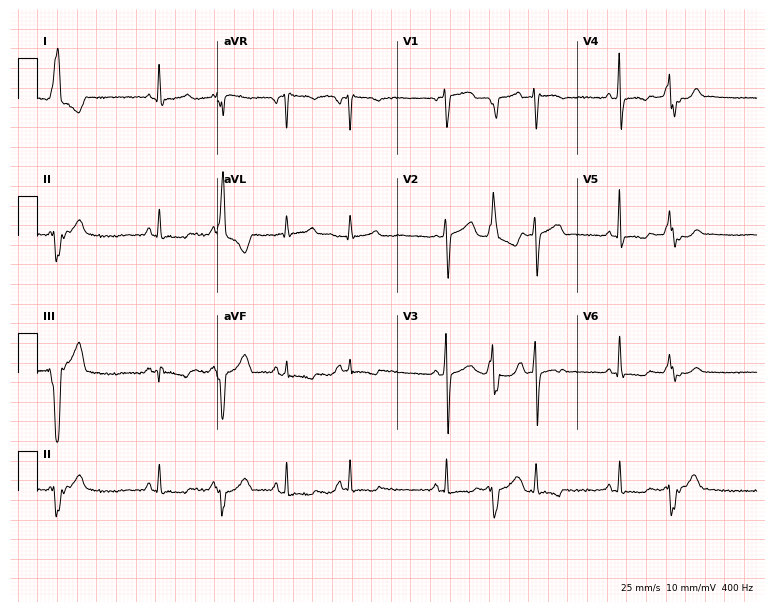
Resting 12-lead electrocardiogram. Patient: a man, 55 years old. Read as a normal ECG.